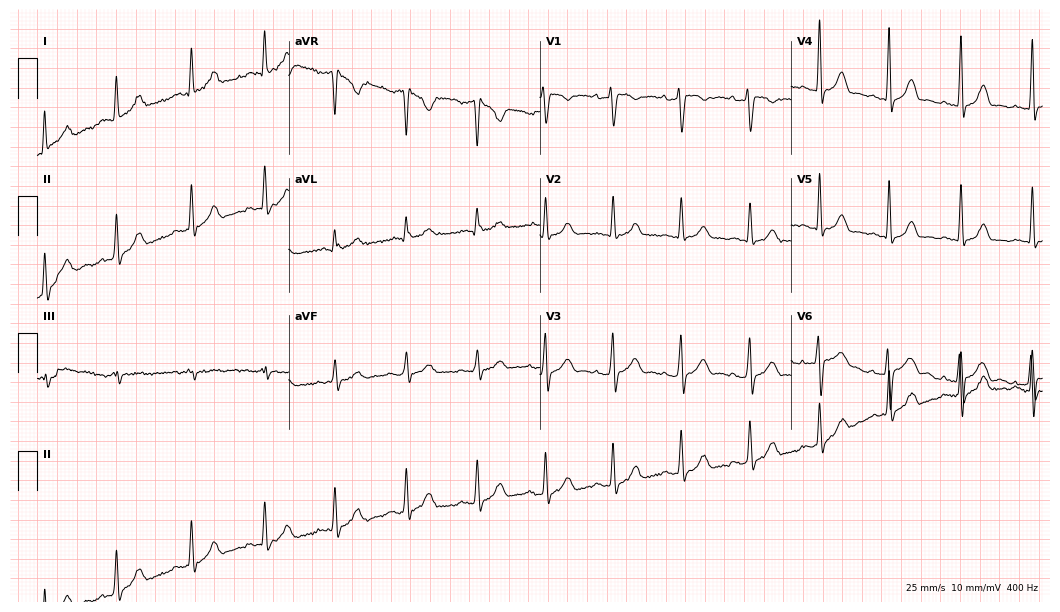
Electrocardiogram, a 26-year-old man. Of the six screened findings (first-degree AV block, right bundle branch block (RBBB), left bundle branch block (LBBB), sinus bradycardia, atrial fibrillation (AF), sinus tachycardia), none is recorded. Findings outside these six are not listed.